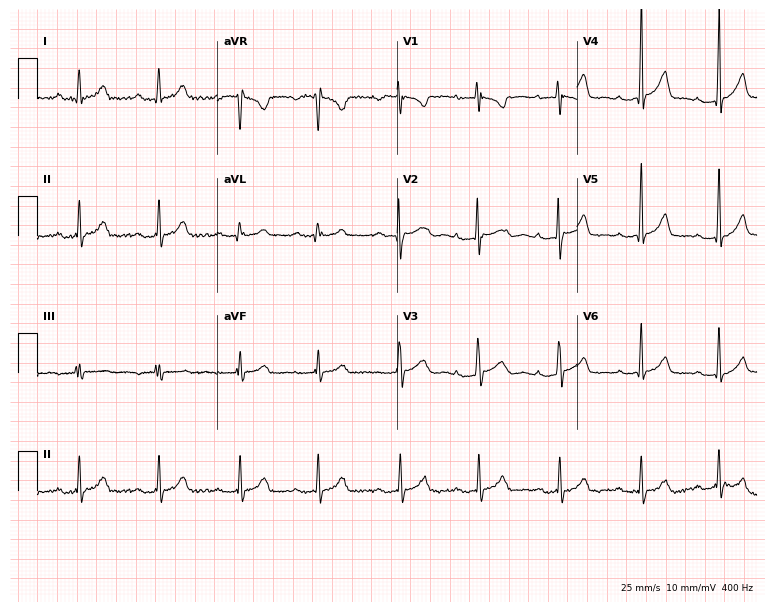
Standard 12-lead ECG recorded from a woman, 21 years old (7.3-second recording at 400 Hz). None of these six findings is recorded: first-degree AV block, right bundle branch block, left bundle branch block, sinus bradycardia, atrial fibrillation, sinus tachycardia. Other findings, if any, are not listed.